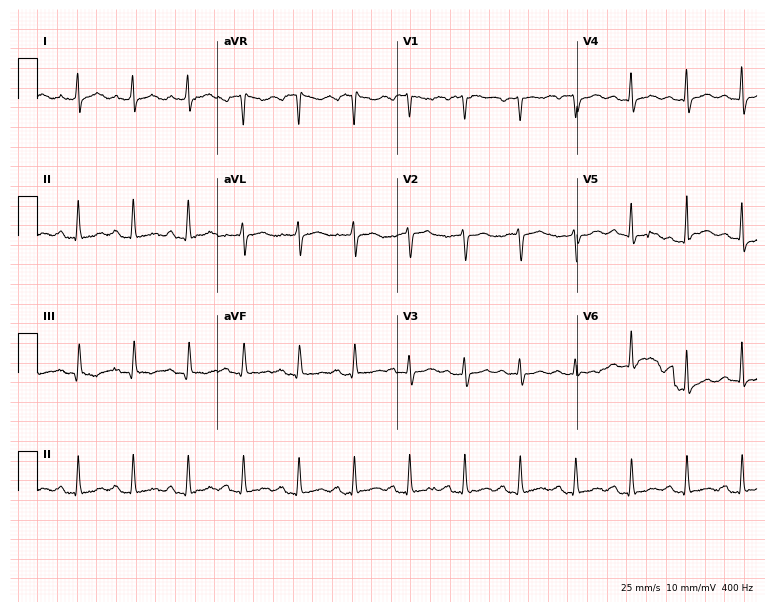
ECG — a female patient, 74 years old. Findings include sinus tachycardia (a sinus rate of 100 beats per minute or more).